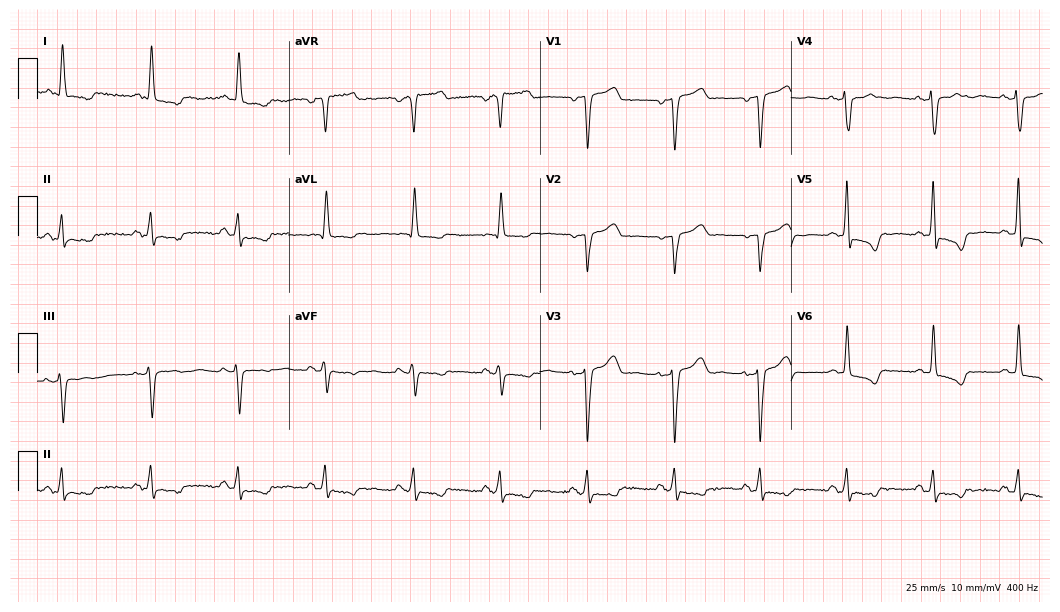
Electrocardiogram (10.2-second recording at 400 Hz), a 75-year-old female patient. Of the six screened findings (first-degree AV block, right bundle branch block (RBBB), left bundle branch block (LBBB), sinus bradycardia, atrial fibrillation (AF), sinus tachycardia), none is recorded. Findings outside these six are not listed.